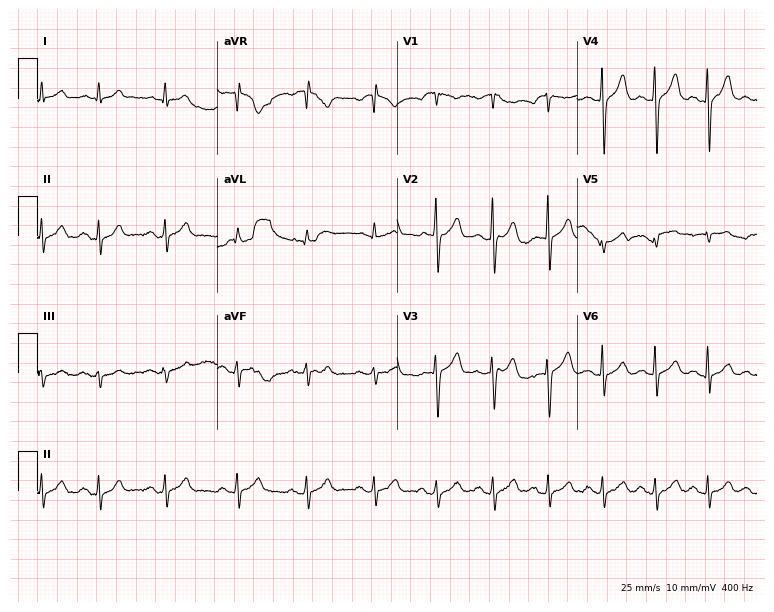
Resting 12-lead electrocardiogram (7.3-second recording at 400 Hz). Patient: a male, 57 years old. None of these six findings is recorded: first-degree AV block, right bundle branch block (RBBB), left bundle branch block (LBBB), sinus bradycardia, atrial fibrillation (AF), sinus tachycardia. Only these six findings were labelled.